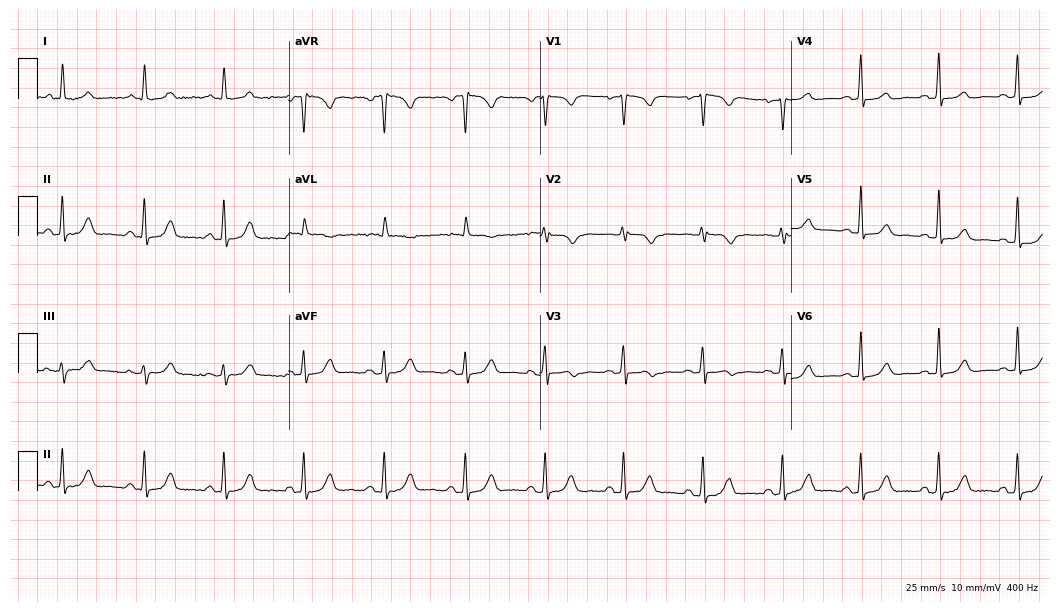
12-lead ECG from a female, 53 years old. Screened for six findings — first-degree AV block, right bundle branch block, left bundle branch block, sinus bradycardia, atrial fibrillation, sinus tachycardia — none is recorded. Only these six findings were labelled.